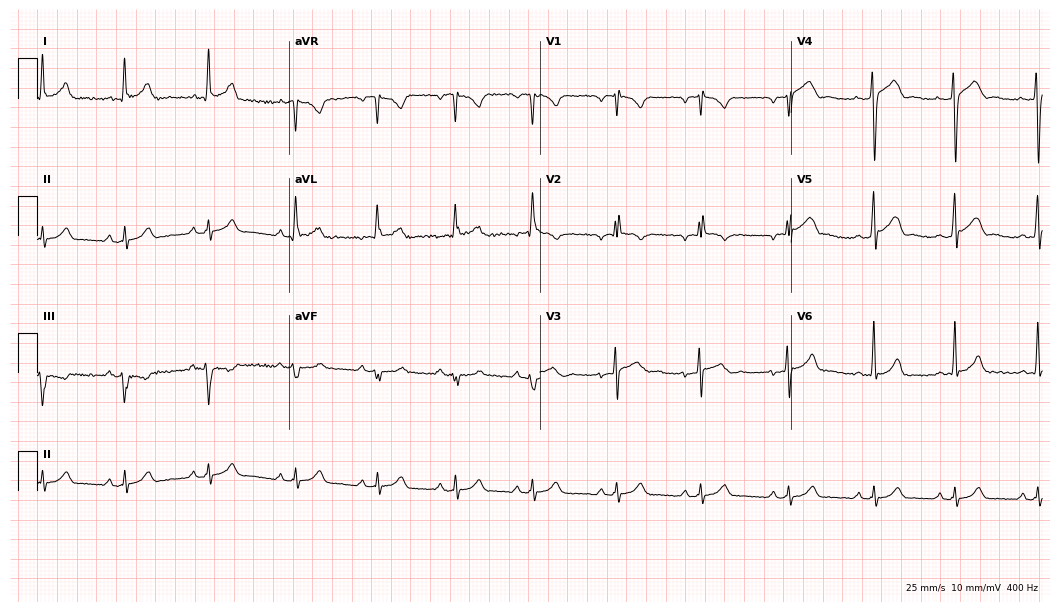
Electrocardiogram, a 21-year-old man. Overall reading on record: normal ECG.